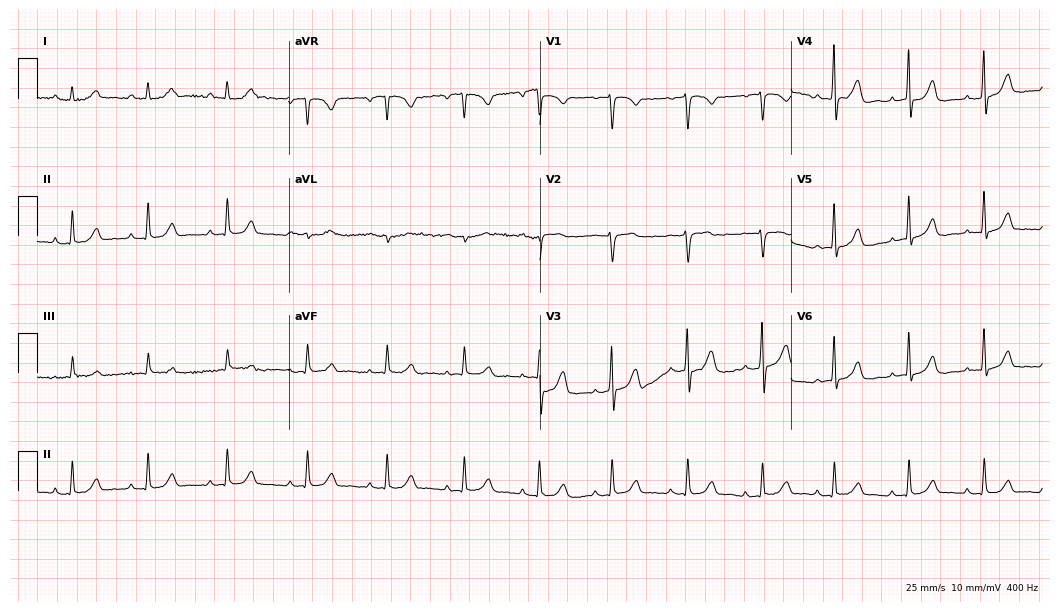
Resting 12-lead electrocardiogram. Patient: a female, 43 years old. Read as a normal ECG.